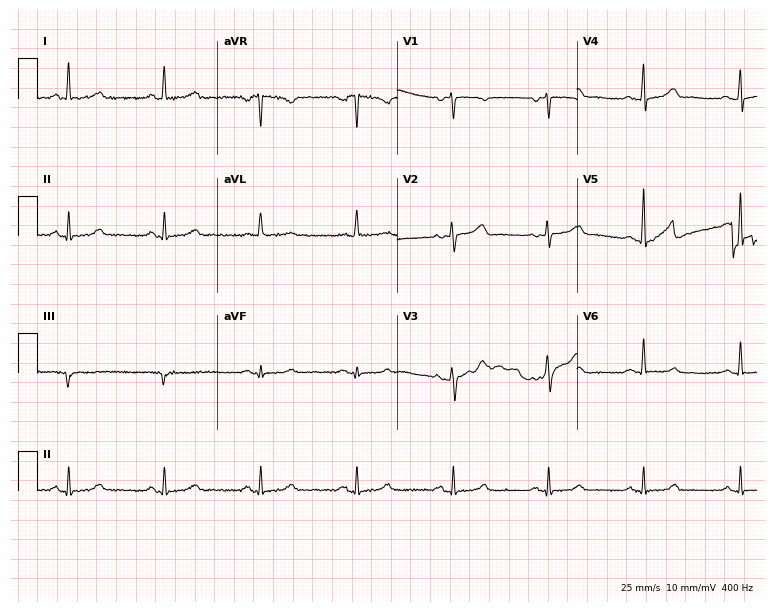
Electrocardiogram (7.3-second recording at 400 Hz), a woman, 57 years old. Of the six screened findings (first-degree AV block, right bundle branch block, left bundle branch block, sinus bradycardia, atrial fibrillation, sinus tachycardia), none is recorded.